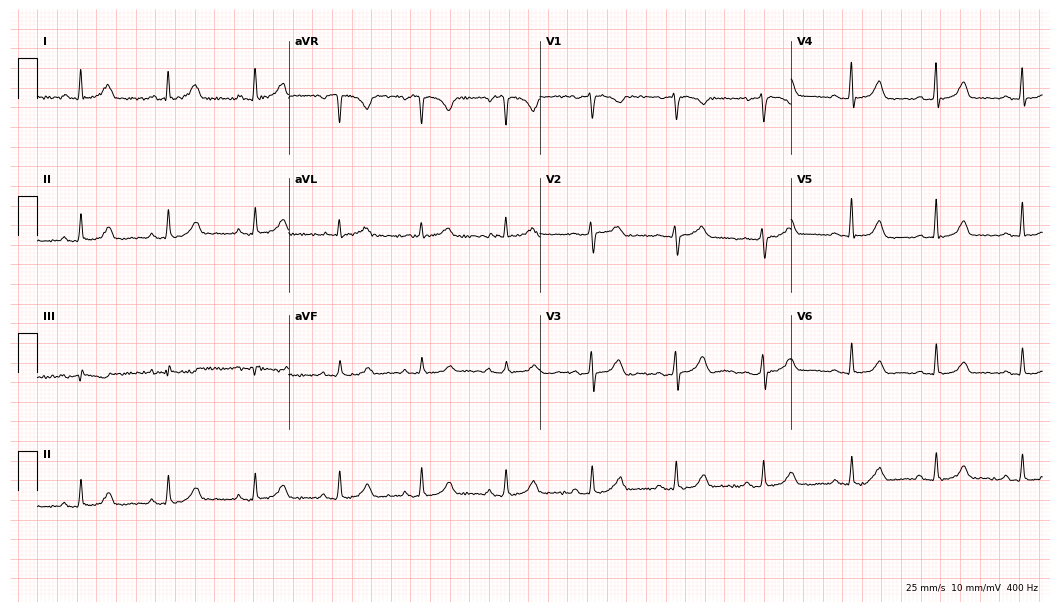
Standard 12-lead ECG recorded from a woman, 52 years old. Read as a normal ECG.